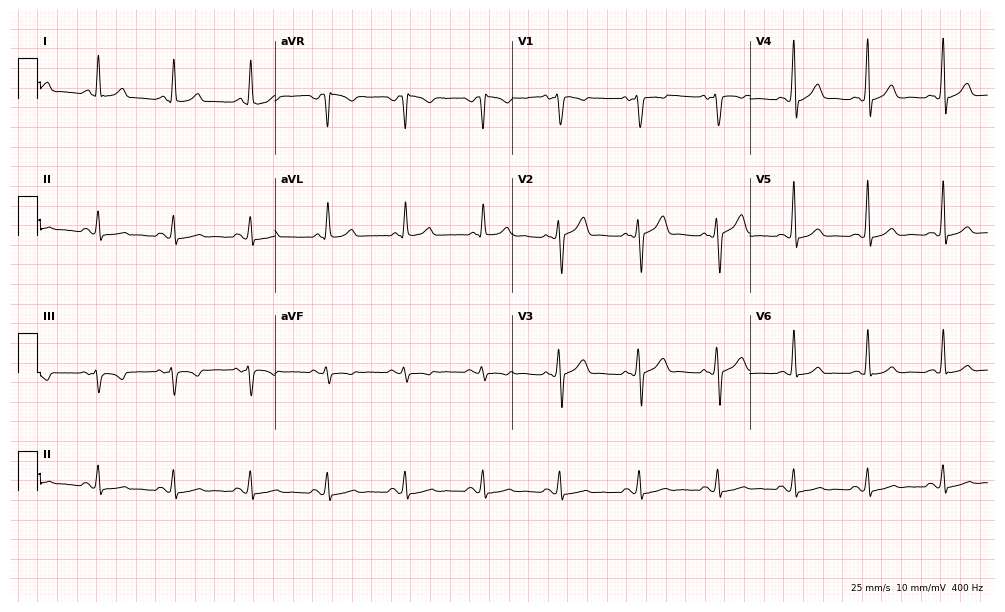
ECG — a 46-year-old man. Screened for six findings — first-degree AV block, right bundle branch block, left bundle branch block, sinus bradycardia, atrial fibrillation, sinus tachycardia — none is recorded.